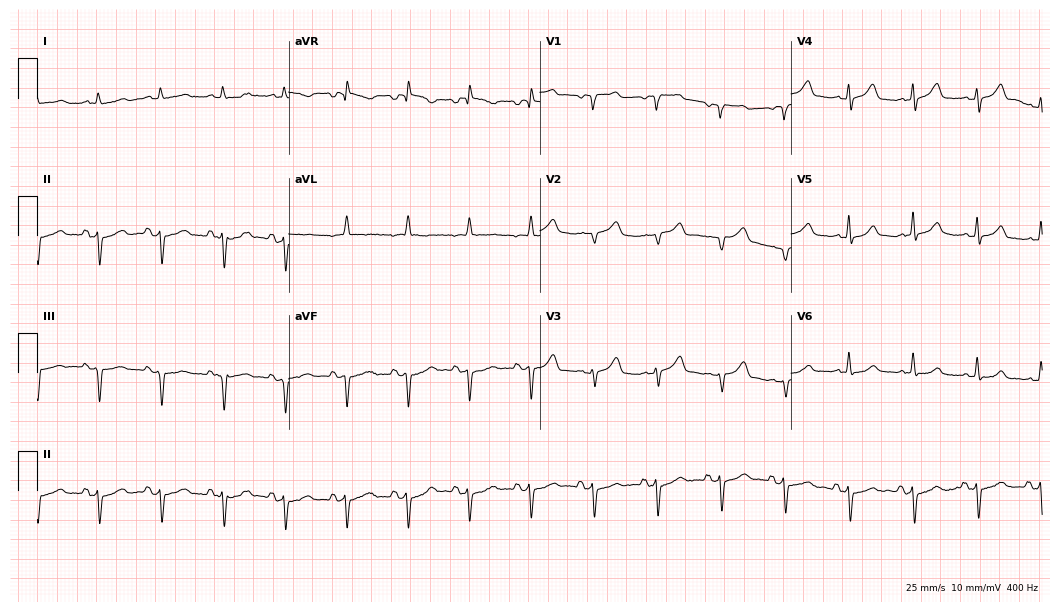
ECG — a 61-year-old male patient. Screened for six findings — first-degree AV block, right bundle branch block, left bundle branch block, sinus bradycardia, atrial fibrillation, sinus tachycardia — none is recorded.